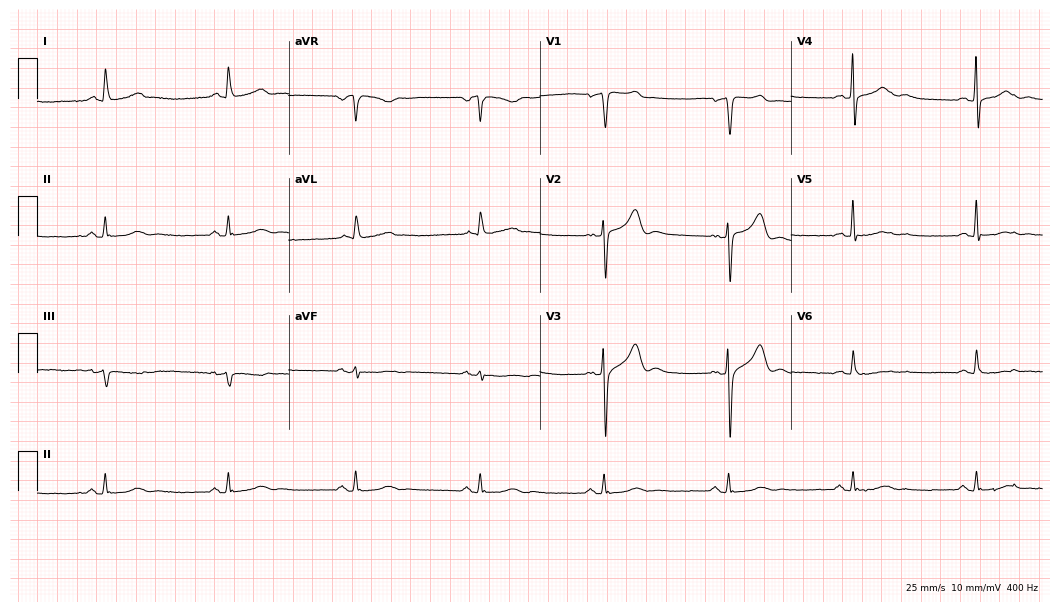
12-lead ECG (10.2-second recording at 400 Hz) from a 67-year-old female. Findings include sinus bradycardia (a sinus rate of 50 beats per minute or less).